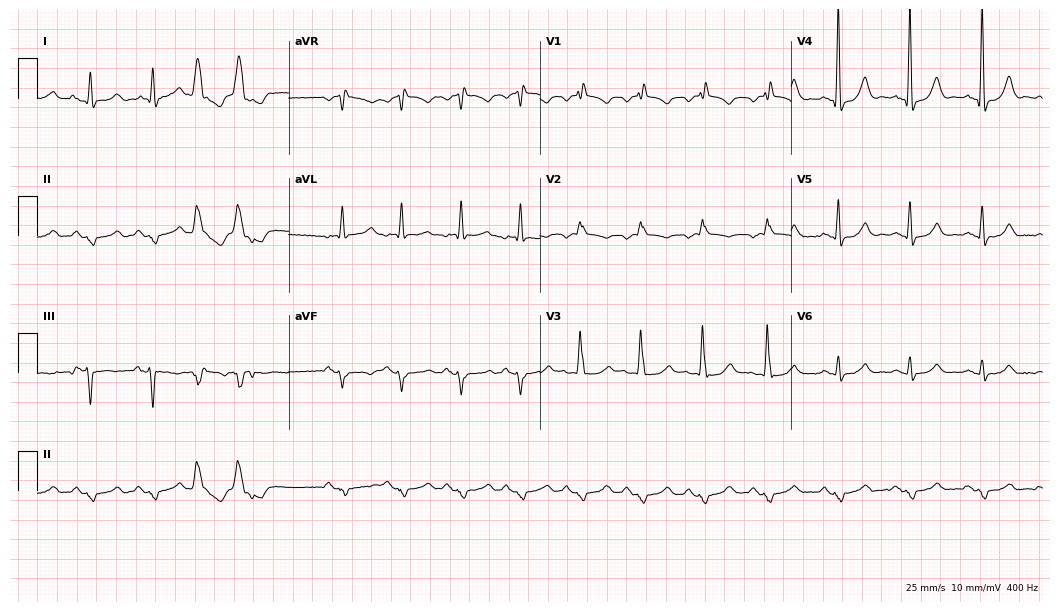
Resting 12-lead electrocardiogram (10.2-second recording at 400 Hz). Patient: a 65-year-old male. The tracing shows right bundle branch block.